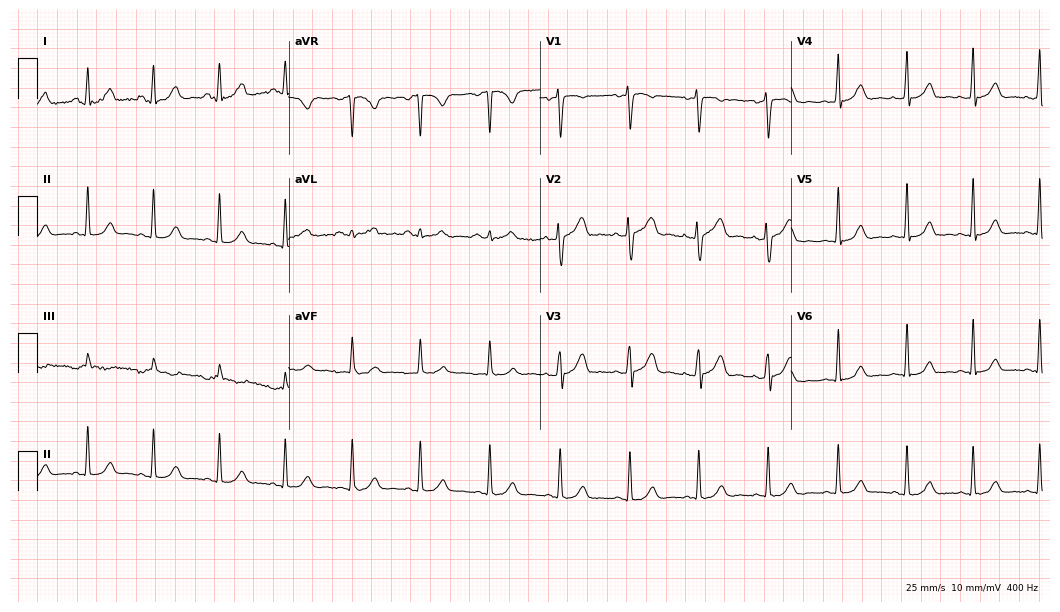
Standard 12-lead ECG recorded from a female, 36 years old (10.2-second recording at 400 Hz). Read as a normal ECG.